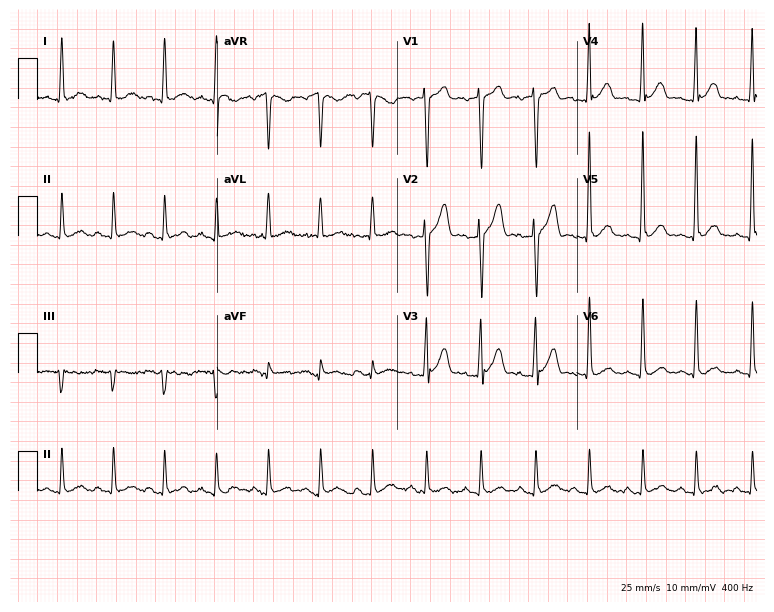
Electrocardiogram, a male, 50 years old. Interpretation includes sinus tachycardia (a sinus rate of 100 beats per minute or more).